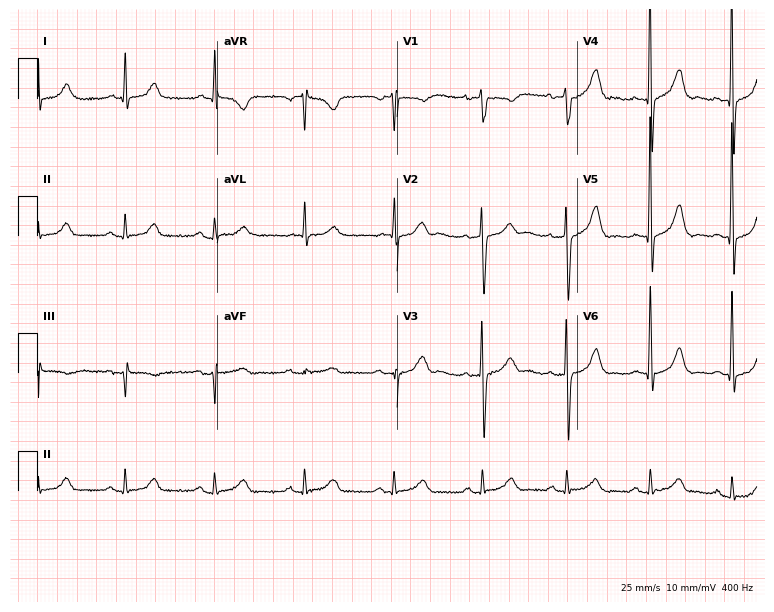
Resting 12-lead electrocardiogram (7.3-second recording at 400 Hz). Patient: a woman, 67 years old. Read as a normal ECG.